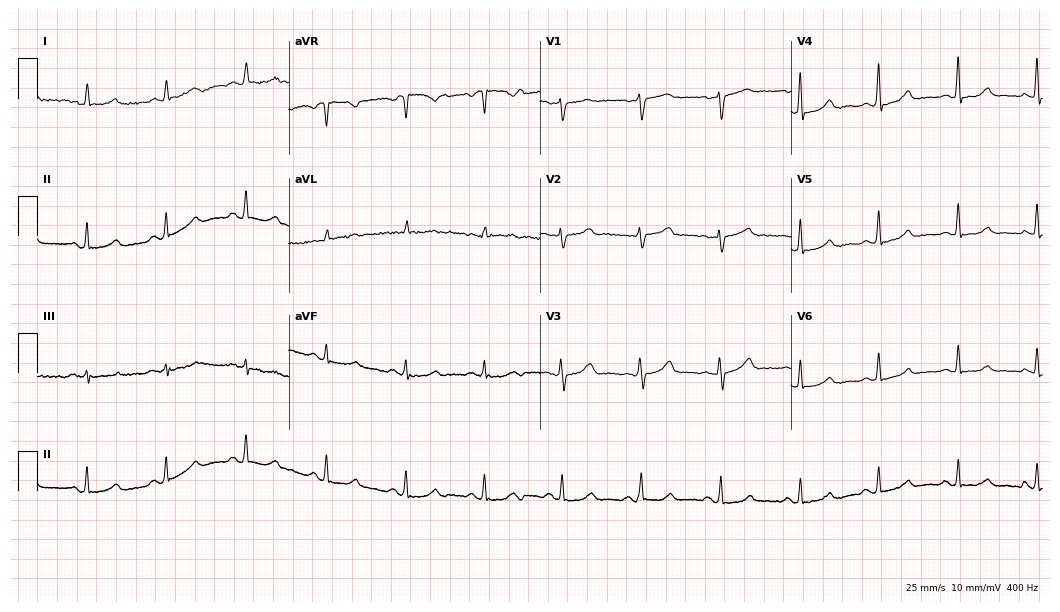
ECG — a 59-year-old male. Labelled as a normal ECG.